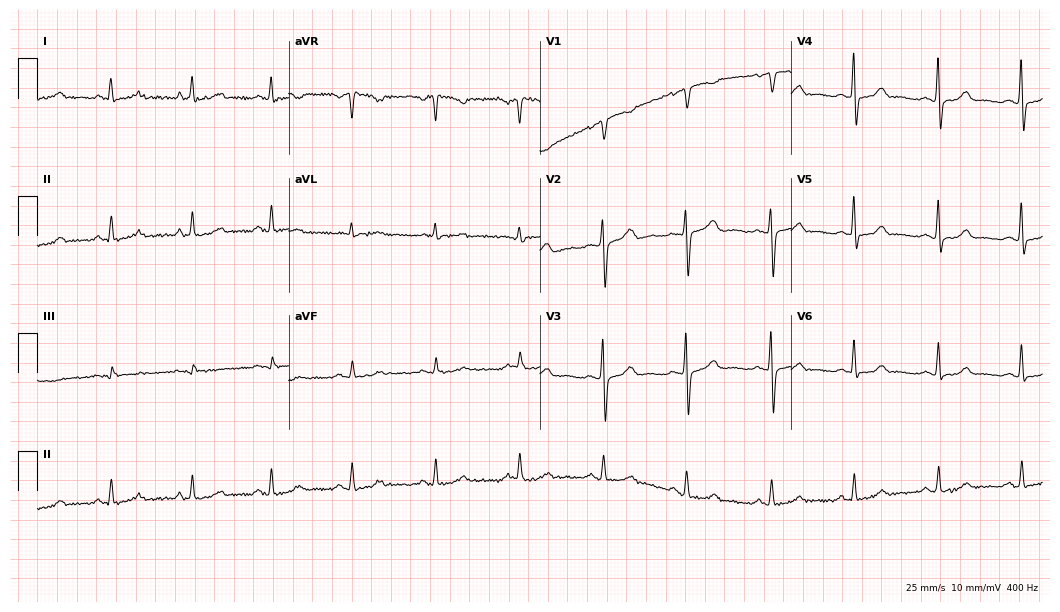
ECG — a 39-year-old woman. Screened for six findings — first-degree AV block, right bundle branch block (RBBB), left bundle branch block (LBBB), sinus bradycardia, atrial fibrillation (AF), sinus tachycardia — none is recorded.